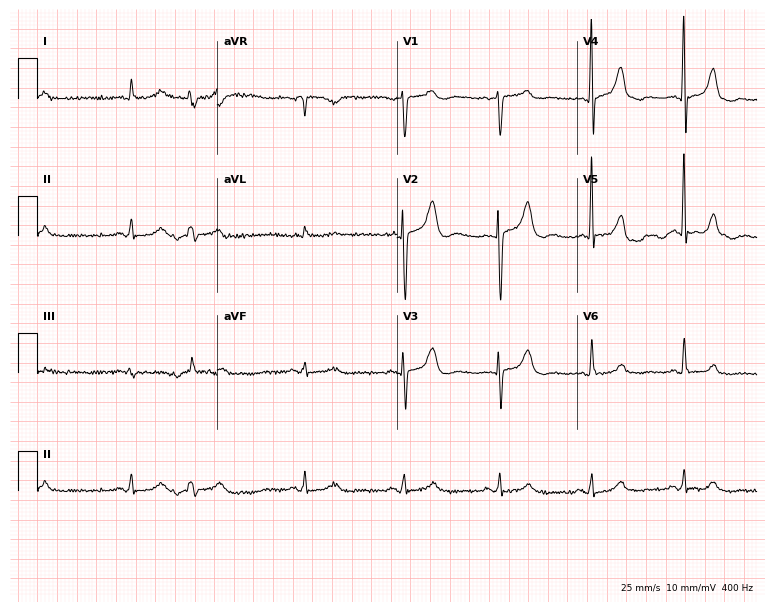
12-lead ECG from a male patient, 61 years old. Recorded interpretation: within normal limits.